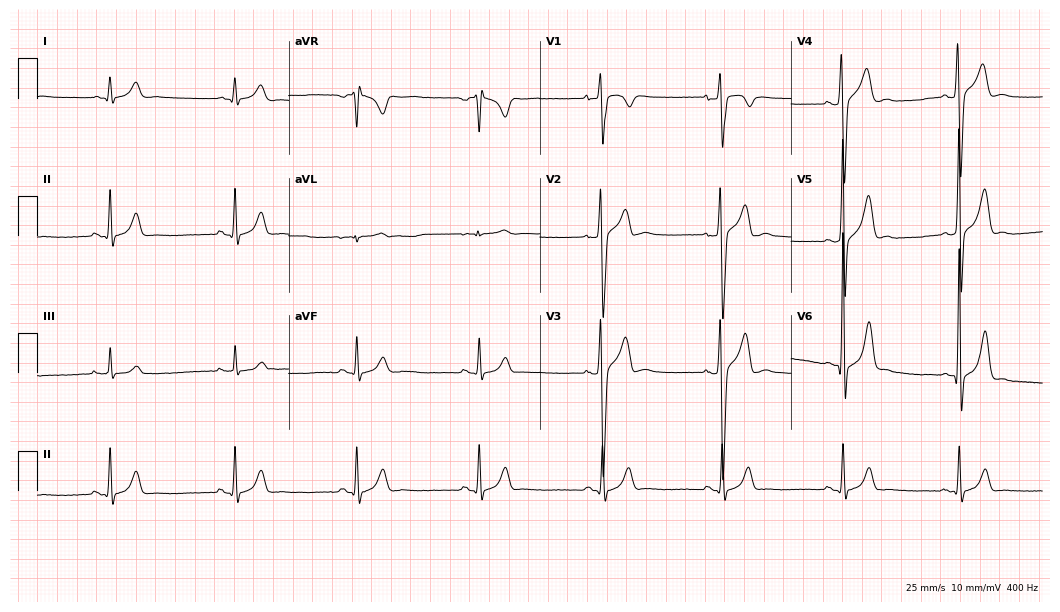
Resting 12-lead electrocardiogram. Patient: a 21-year-old male. The tracing shows sinus bradycardia (a sinus rate of 50 beats per minute or less).